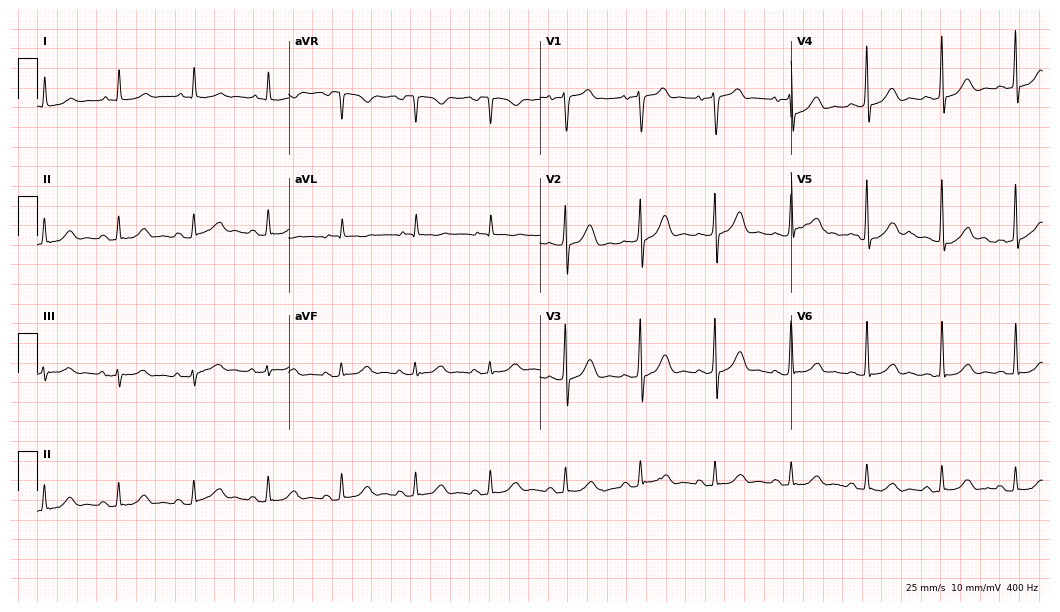
Resting 12-lead electrocardiogram (10.2-second recording at 400 Hz). Patient: a male, 80 years old. Read as a normal ECG.